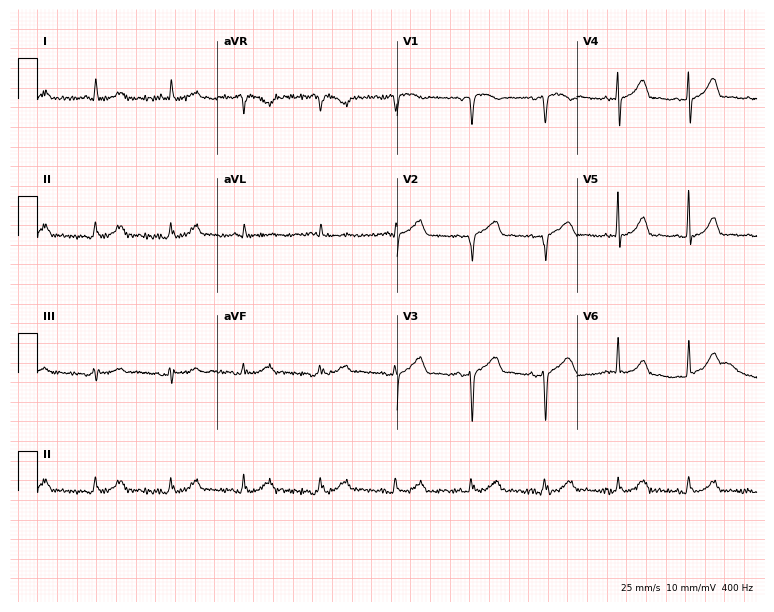
Resting 12-lead electrocardiogram. Patient: a 20-year-old female. Read as a normal ECG.